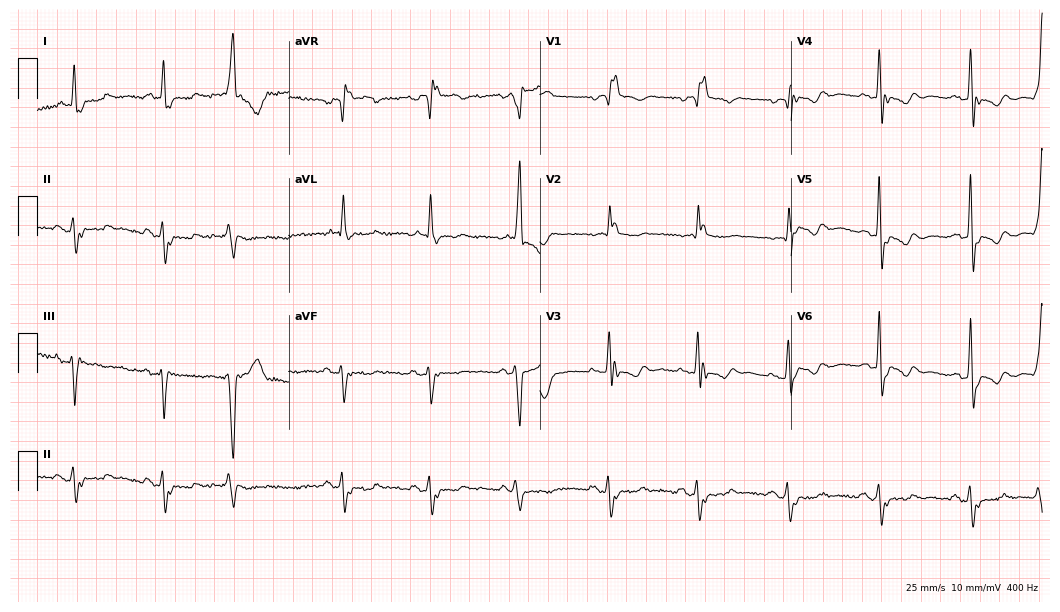
ECG — an 84-year-old man. Findings include right bundle branch block (RBBB).